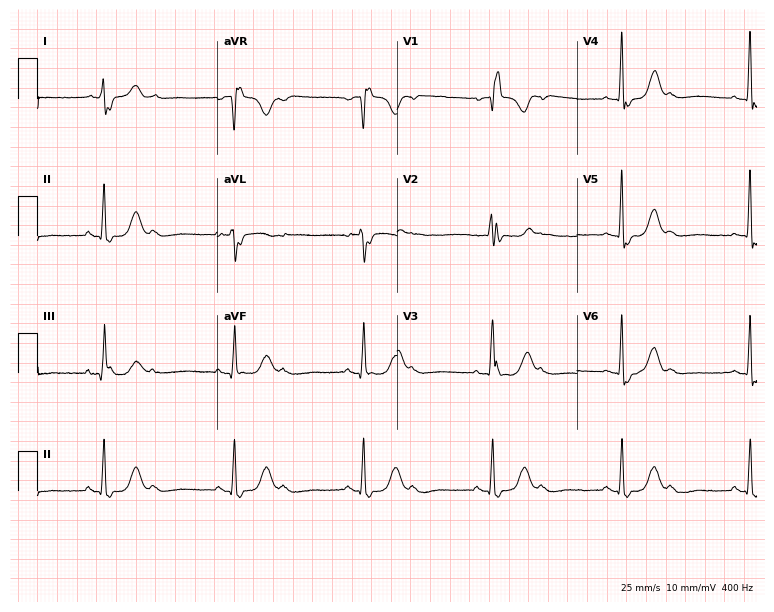
ECG (7.3-second recording at 400 Hz) — a female patient, 82 years old. Screened for six findings — first-degree AV block, right bundle branch block, left bundle branch block, sinus bradycardia, atrial fibrillation, sinus tachycardia — none is recorded.